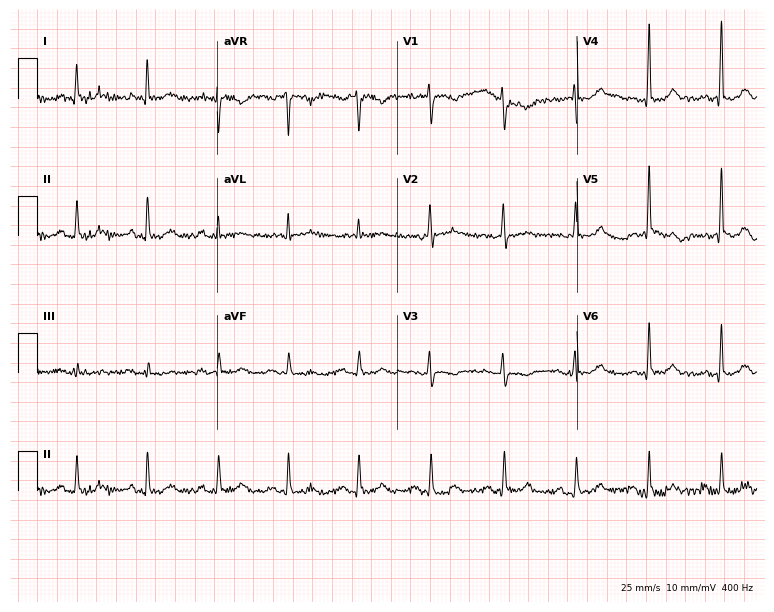
Electrocardiogram (7.3-second recording at 400 Hz), a female, 51 years old. Overall reading on record: normal ECG.